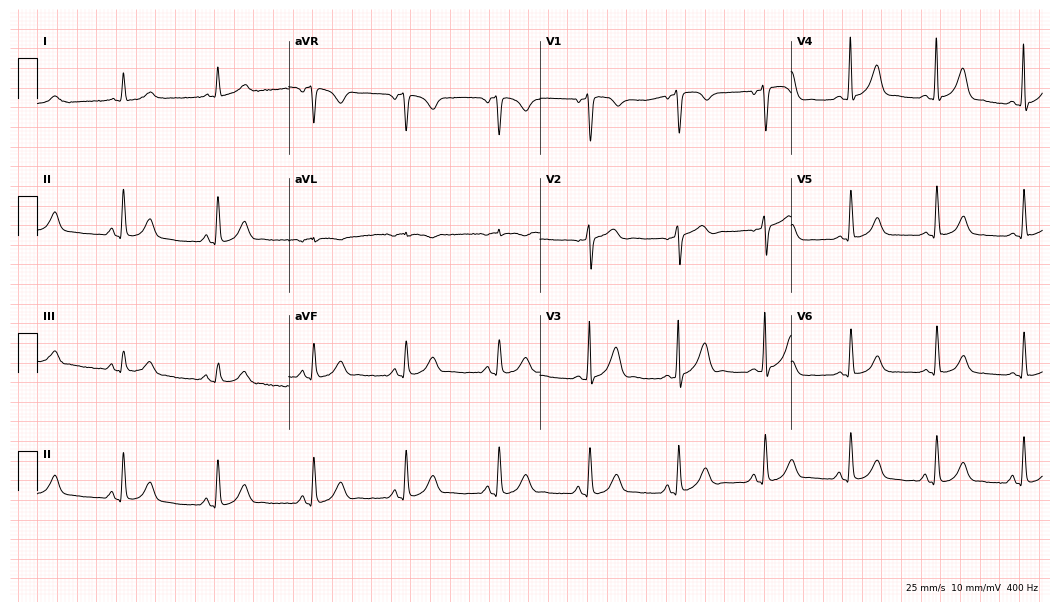
12-lead ECG from a 57-year-old male (10.2-second recording at 400 Hz). No first-degree AV block, right bundle branch block, left bundle branch block, sinus bradycardia, atrial fibrillation or sinus tachycardia recorded for this tracing.